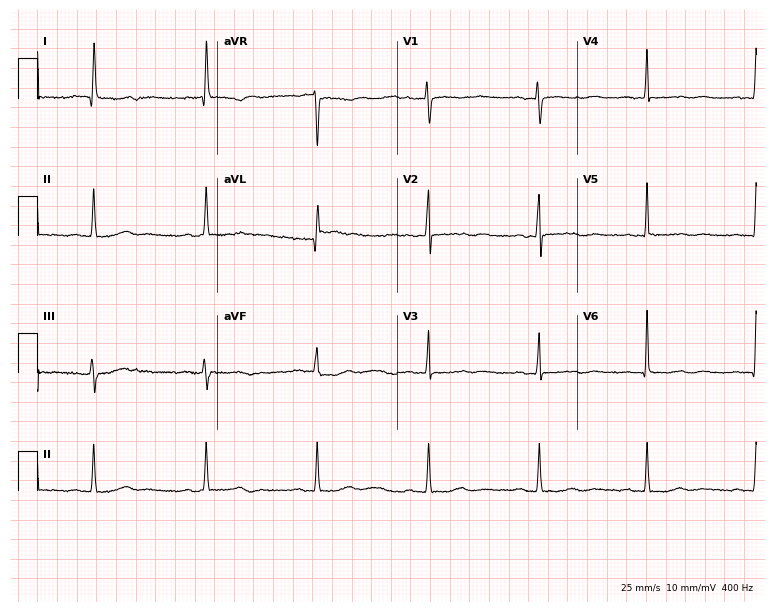
ECG — a woman, 82 years old. Screened for six findings — first-degree AV block, right bundle branch block (RBBB), left bundle branch block (LBBB), sinus bradycardia, atrial fibrillation (AF), sinus tachycardia — none is recorded. Findings outside these six are not listed.